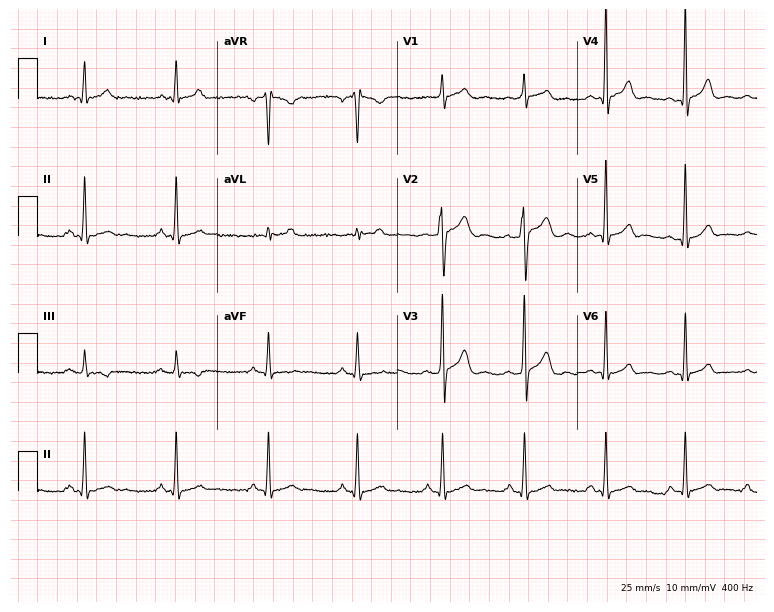
12-lead ECG (7.3-second recording at 400 Hz) from a 34-year-old man. Labelled as a normal ECG.